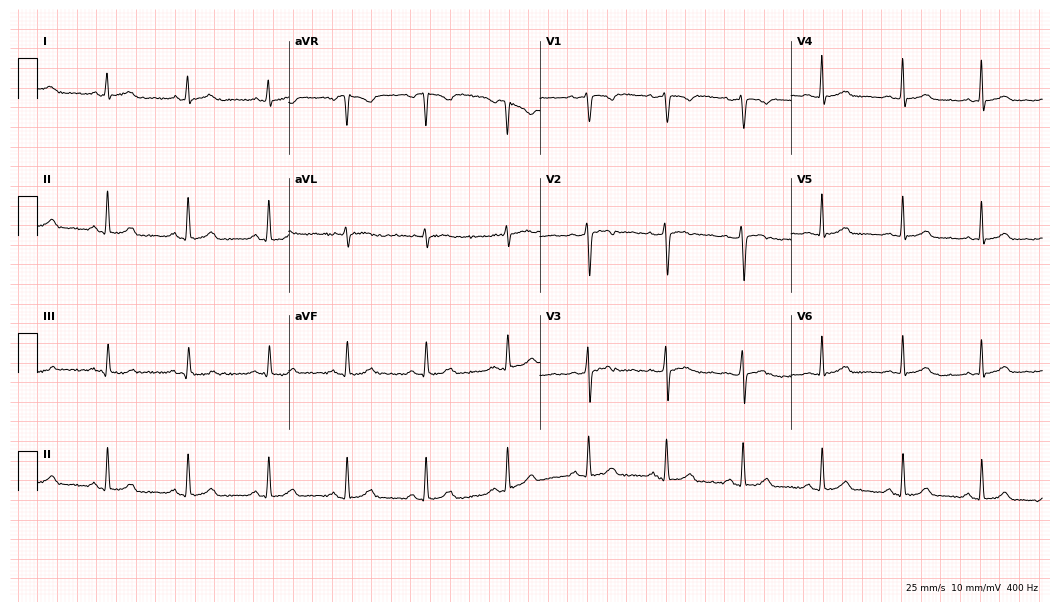
Electrocardiogram, a 38-year-old female. Overall reading on record: normal ECG.